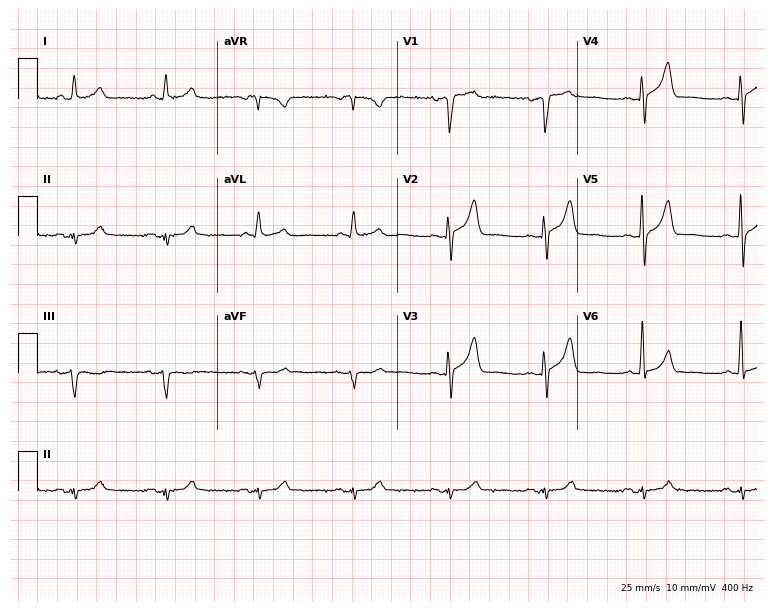
12-lead ECG from a 76-year-old male patient (7.3-second recording at 400 Hz). No first-degree AV block, right bundle branch block, left bundle branch block, sinus bradycardia, atrial fibrillation or sinus tachycardia recorded for this tracing. Only these six findings were labelled.